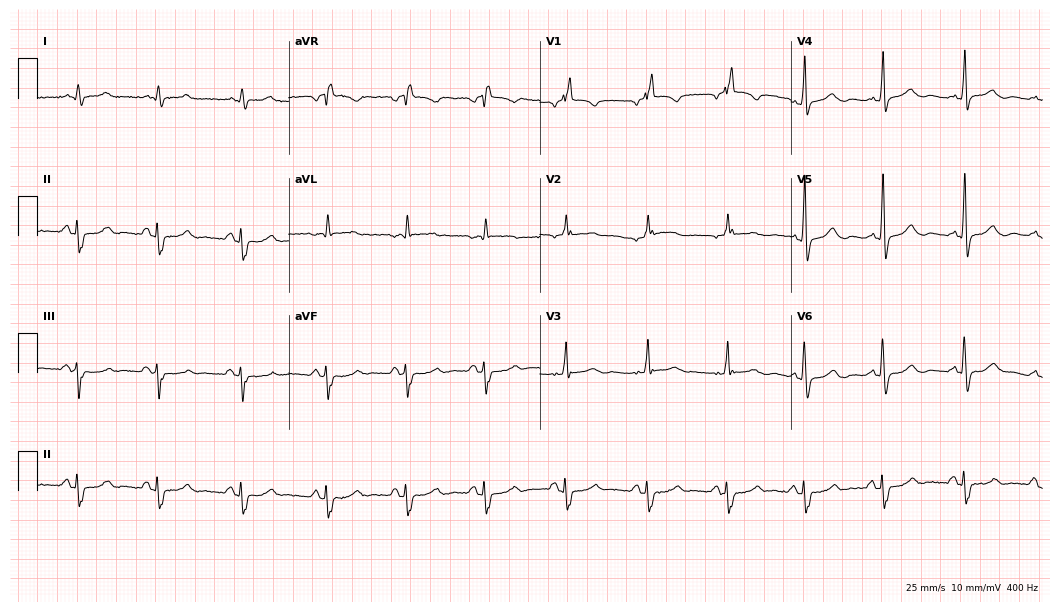
Electrocardiogram, a male, 83 years old. Of the six screened findings (first-degree AV block, right bundle branch block (RBBB), left bundle branch block (LBBB), sinus bradycardia, atrial fibrillation (AF), sinus tachycardia), none is recorded. Only these six findings were labelled.